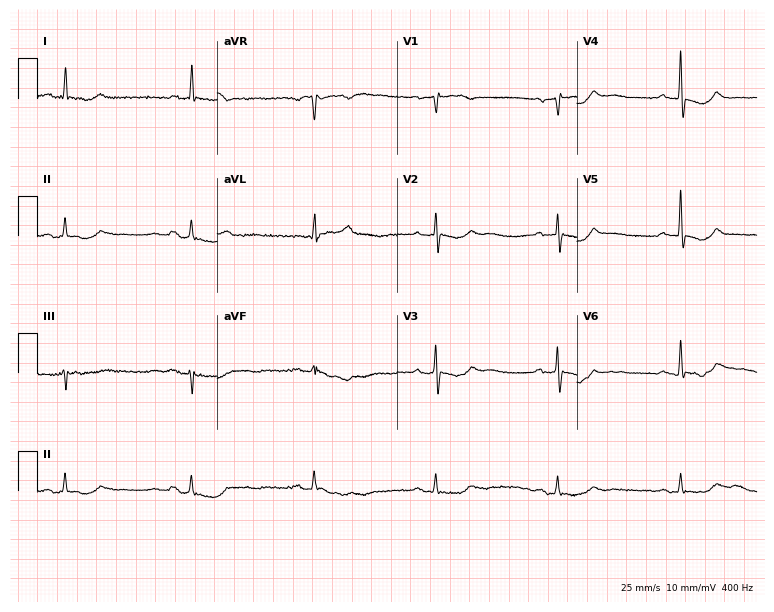
ECG — an 87-year-old woman. Findings include sinus bradycardia (a sinus rate of 50 beats per minute or less).